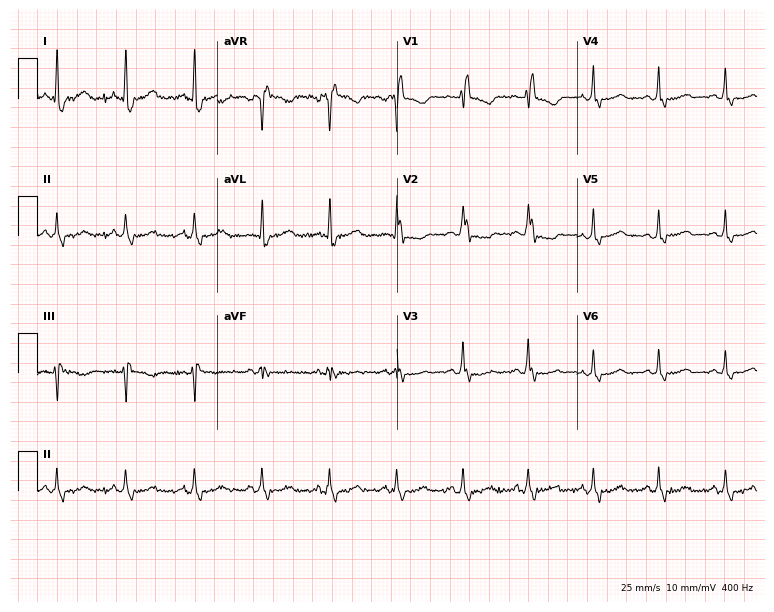
Electrocardiogram, a 57-year-old female. Interpretation includes right bundle branch block.